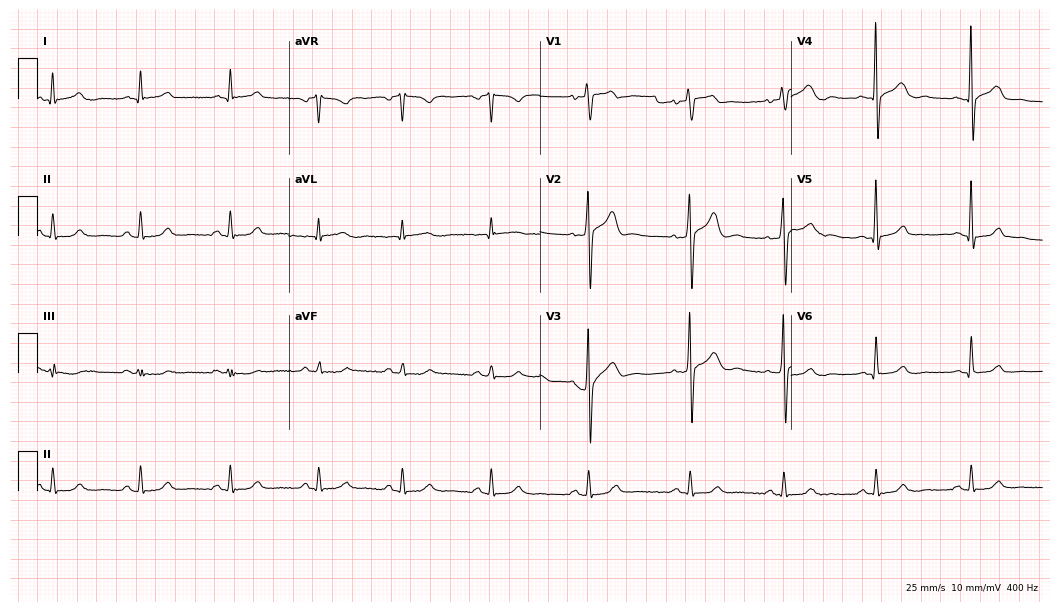
Electrocardiogram (10.2-second recording at 400 Hz), a 57-year-old male. Of the six screened findings (first-degree AV block, right bundle branch block, left bundle branch block, sinus bradycardia, atrial fibrillation, sinus tachycardia), none is recorded. Other findings, if any, are not listed.